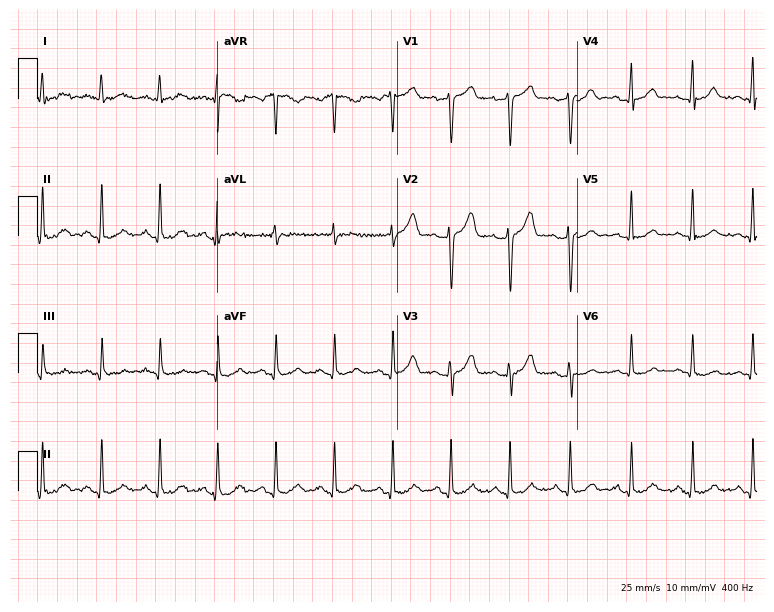
12-lead ECG (7.3-second recording at 400 Hz) from a man, 36 years old. Screened for six findings — first-degree AV block, right bundle branch block, left bundle branch block, sinus bradycardia, atrial fibrillation, sinus tachycardia — none is recorded. Only these six findings were labelled.